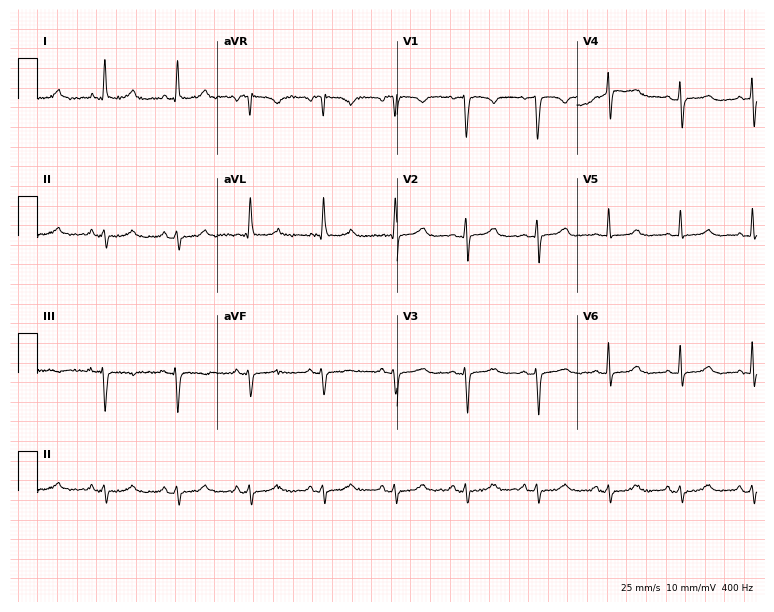
ECG (7.3-second recording at 400 Hz) — a woman, 65 years old. Screened for six findings — first-degree AV block, right bundle branch block, left bundle branch block, sinus bradycardia, atrial fibrillation, sinus tachycardia — none is recorded. Findings outside these six are not listed.